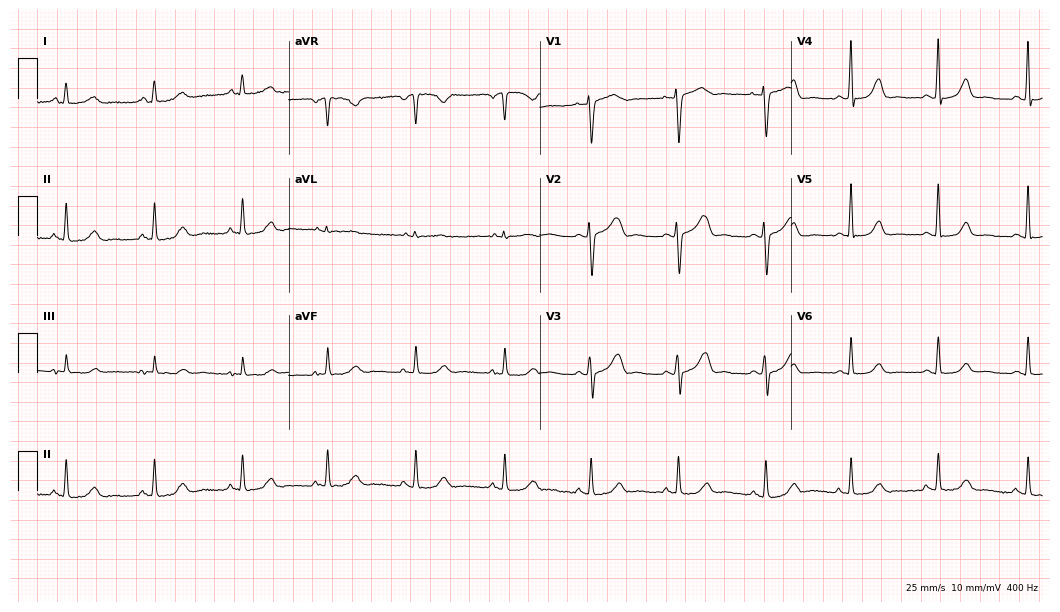
Standard 12-lead ECG recorded from a 50-year-old female. Read as a normal ECG.